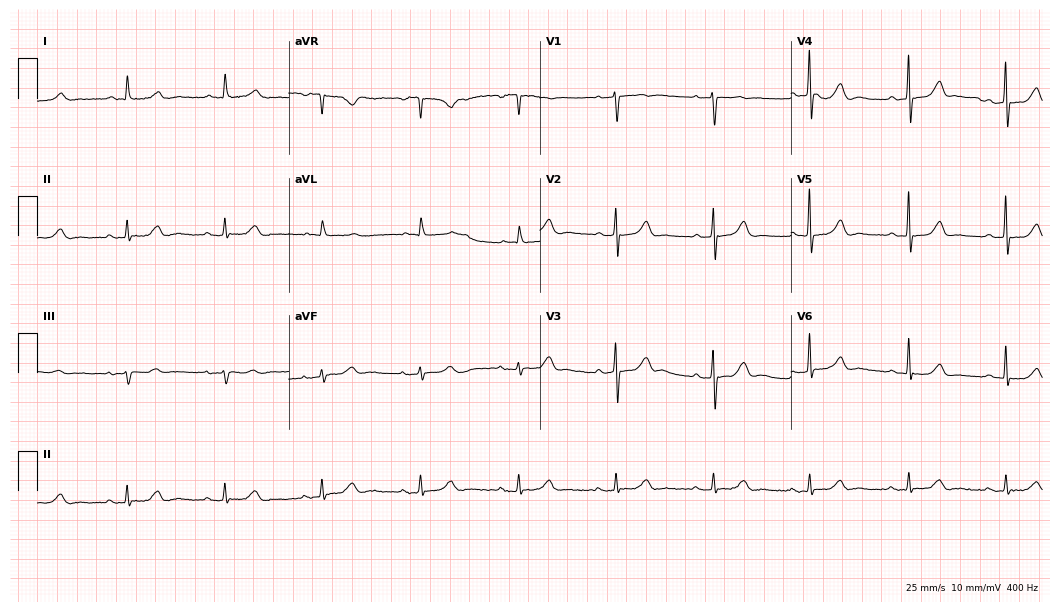
Electrocardiogram, an 85-year-old man. Overall reading on record: normal ECG.